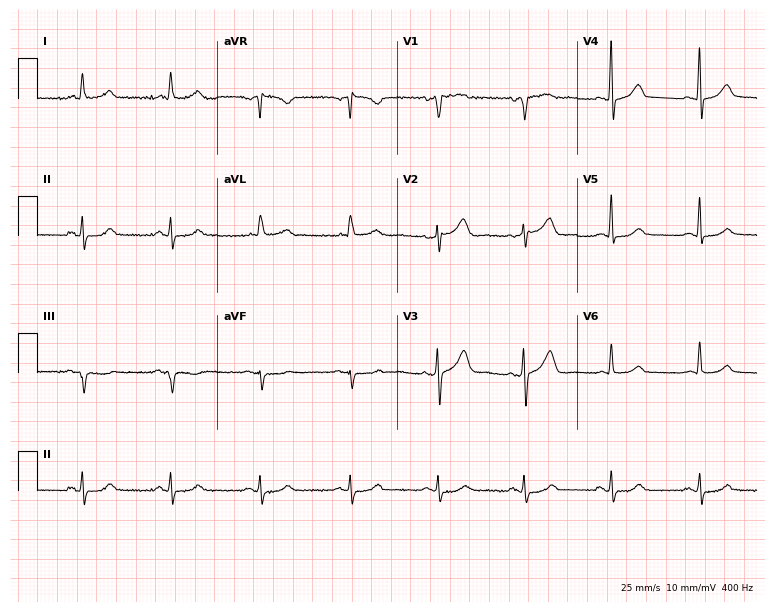
12-lead ECG from a female, 51 years old (7.3-second recording at 400 Hz). No first-degree AV block, right bundle branch block (RBBB), left bundle branch block (LBBB), sinus bradycardia, atrial fibrillation (AF) or sinus tachycardia recorded for this tracing.